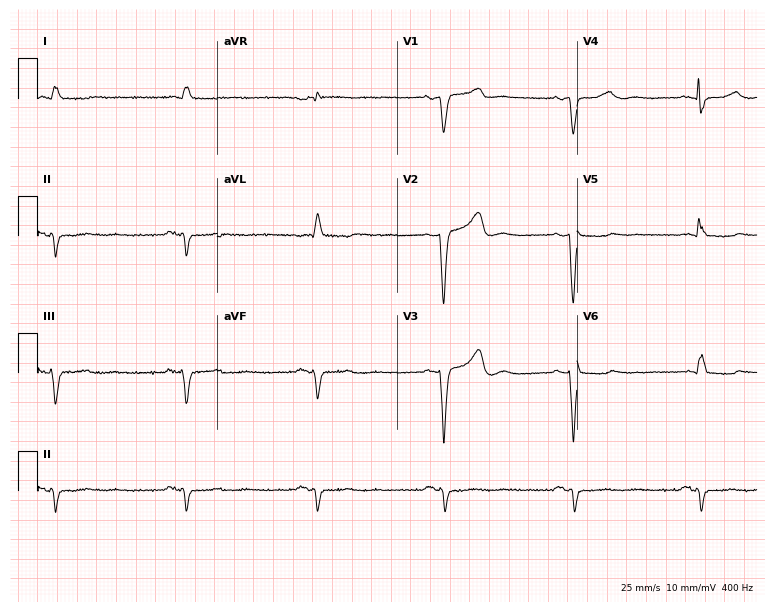
12-lead ECG from a male patient, 78 years old. Shows left bundle branch block, sinus bradycardia (a sinus rate of 50 beats per minute or less).